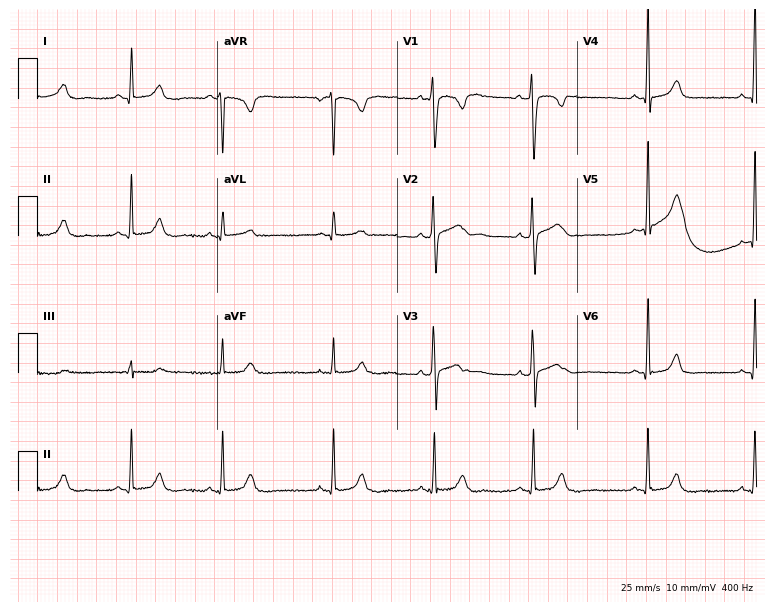
12-lead ECG from a woman, 19 years old (7.3-second recording at 400 Hz). Recorded interpretation: within normal limits.